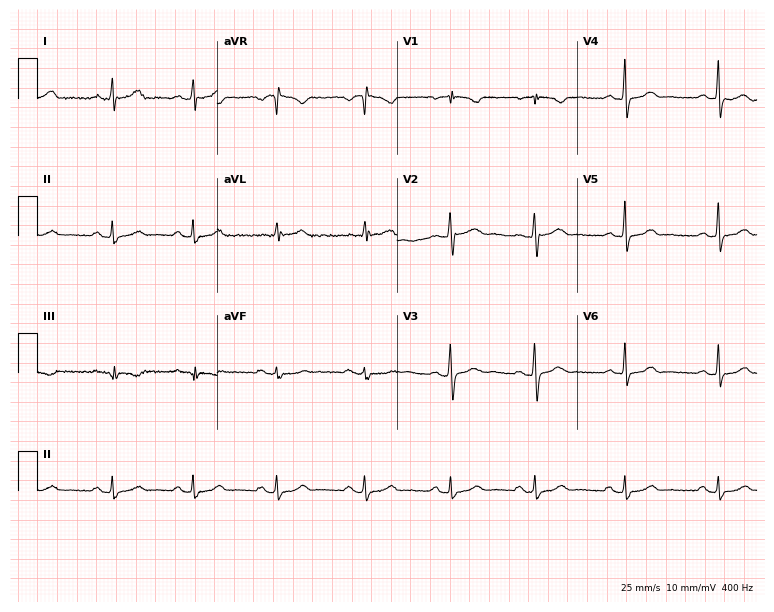
12-lead ECG from a woman, 28 years old. Recorded interpretation: within normal limits.